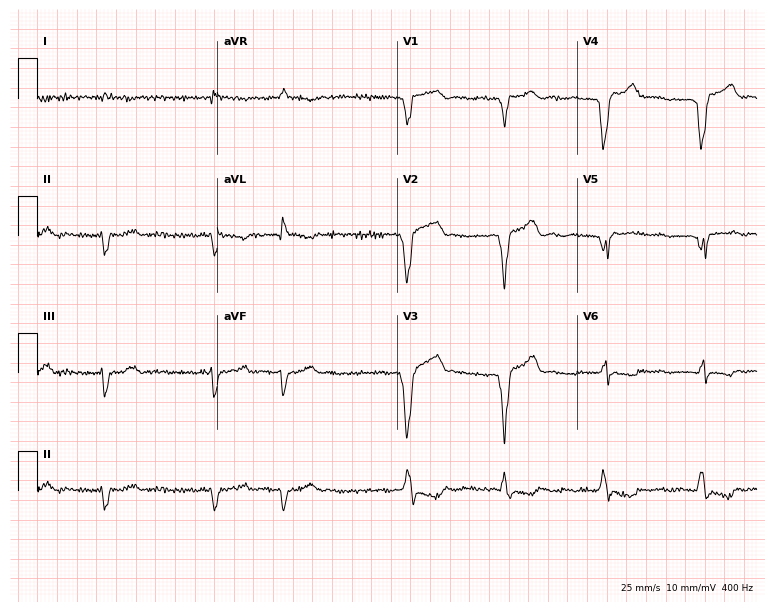
Standard 12-lead ECG recorded from a man, 70 years old. None of these six findings is recorded: first-degree AV block, right bundle branch block (RBBB), left bundle branch block (LBBB), sinus bradycardia, atrial fibrillation (AF), sinus tachycardia.